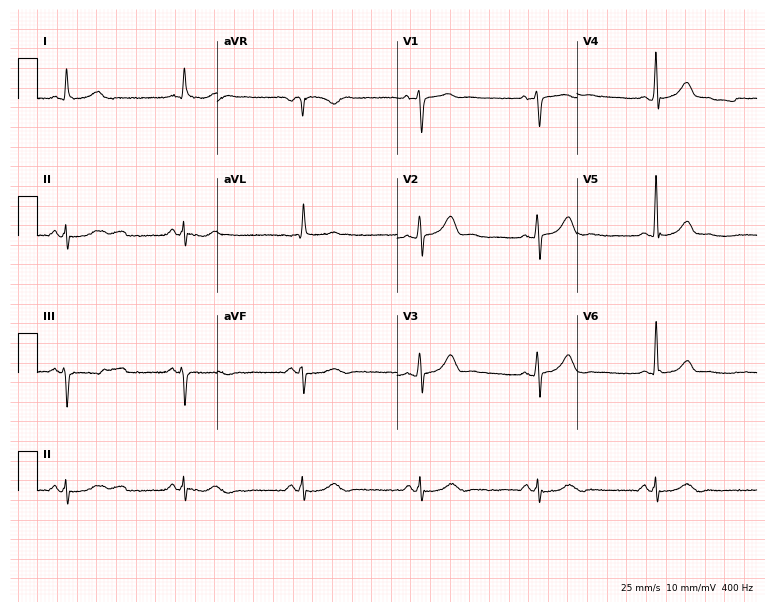
12-lead ECG (7.3-second recording at 400 Hz) from a man, 81 years old. Labelled as a normal ECG.